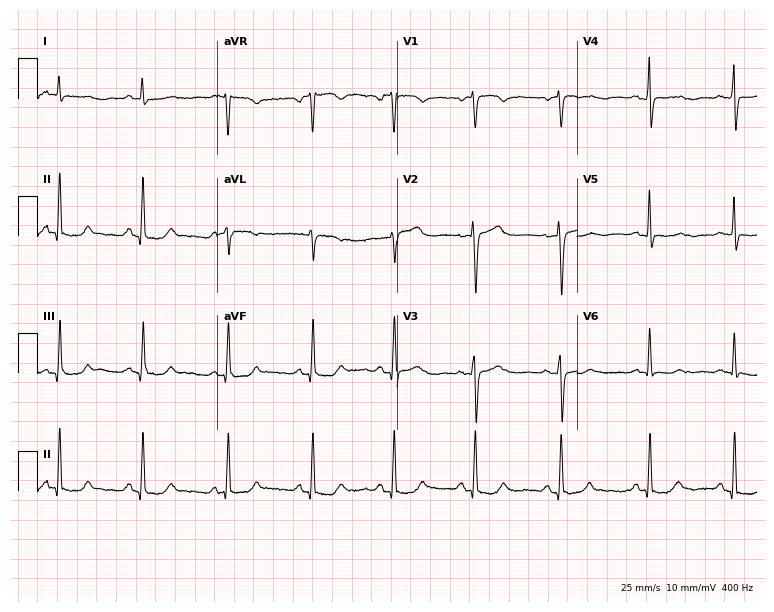
12-lead ECG from a 63-year-old woman (7.3-second recording at 400 Hz). No first-degree AV block, right bundle branch block, left bundle branch block, sinus bradycardia, atrial fibrillation or sinus tachycardia recorded for this tracing.